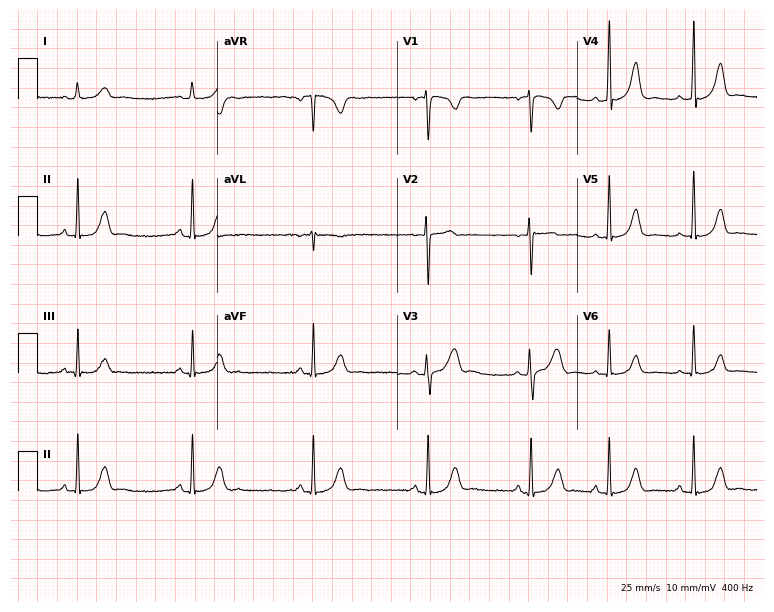
Electrocardiogram (7.3-second recording at 400 Hz), a female, 25 years old. Overall reading on record: normal ECG.